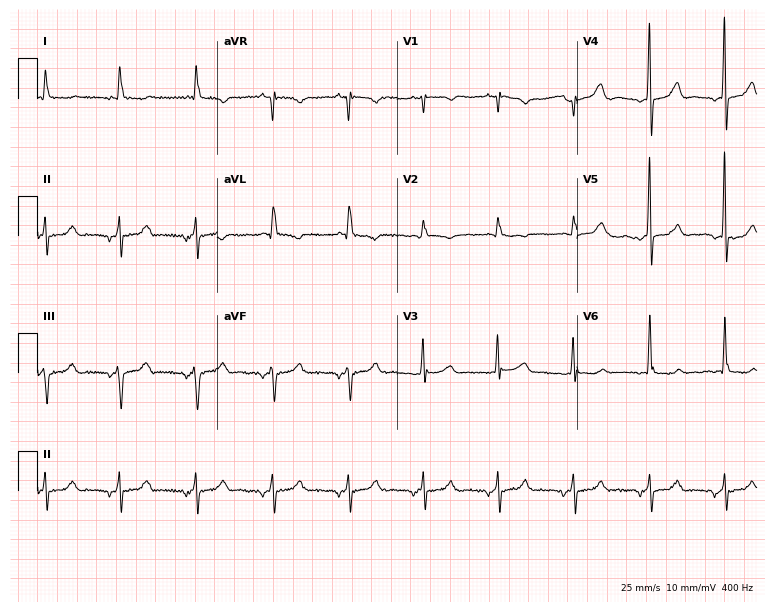
ECG (7.3-second recording at 400 Hz) — an 82-year-old man. Screened for six findings — first-degree AV block, right bundle branch block, left bundle branch block, sinus bradycardia, atrial fibrillation, sinus tachycardia — none is recorded. Other findings, if any, are not listed.